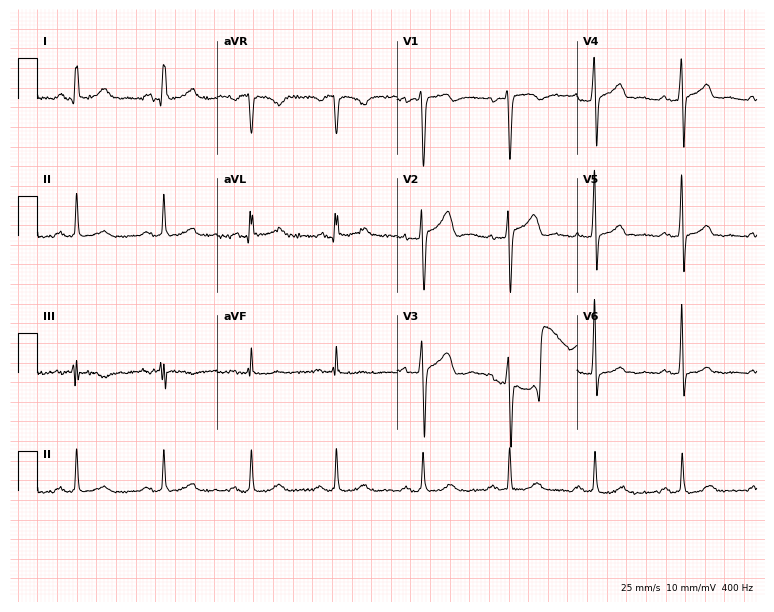
12-lead ECG from a 49-year-old man. No first-degree AV block, right bundle branch block, left bundle branch block, sinus bradycardia, atrial fibrillation or sinus tachycardia recorded for this tracing. Other findings, if any, are not listed.